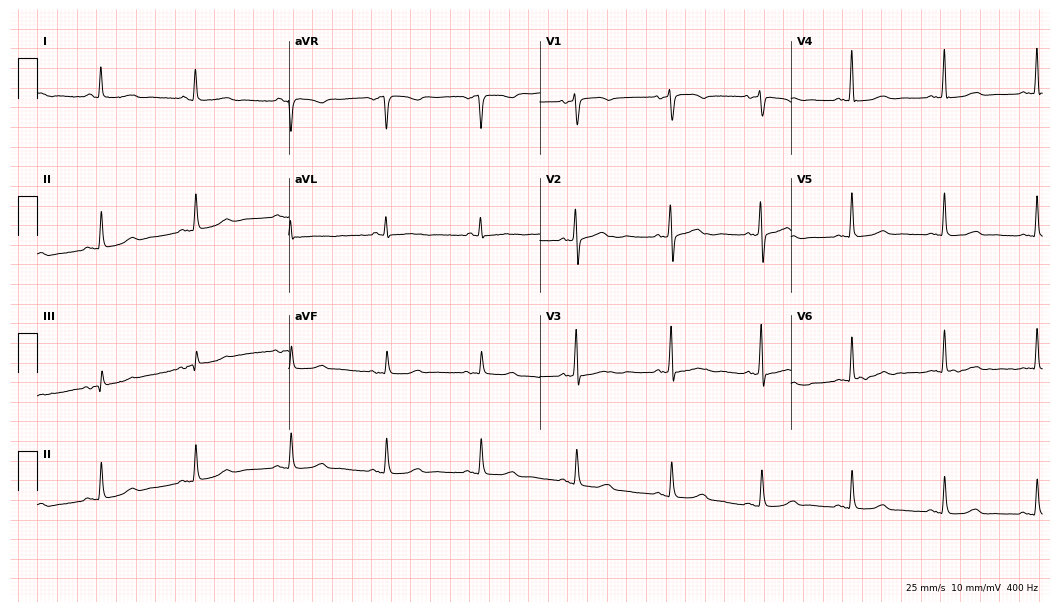
12-lead ECG (10.2-second recording at 400 Hz) from a female, 57 years old. Screened for six findings — first-degree AV block, right bundle branch block, left bundle branch block, sinus bradycardia, atrial fibrillation, sinus tachycardia — none is recorded. Other findings, if any, are not listed.